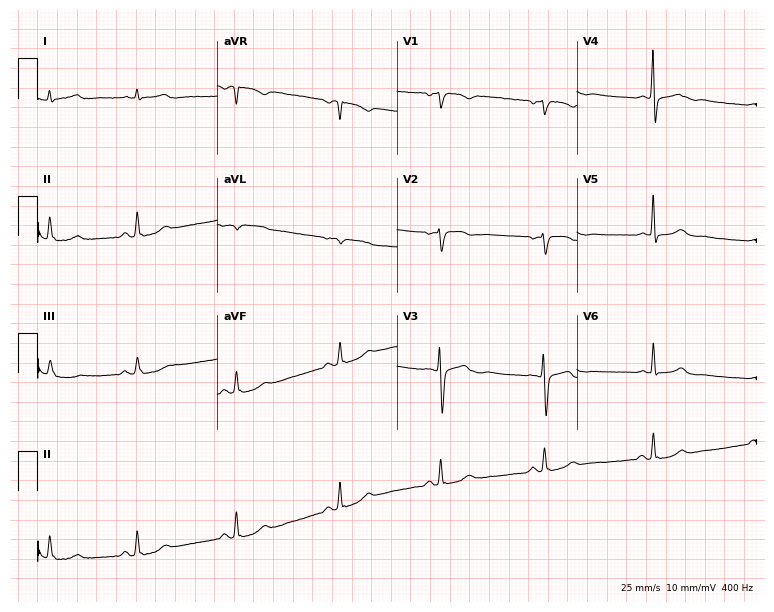
12-lead ECG from a woman, 47 years old. Screened for six findings — first-degree AV block, right bundle branch block, left bundle branch block, sinus bradycardia, atrial fibrillation, sinus tachycardia — none is recorded. Findings outside these six are not listed.